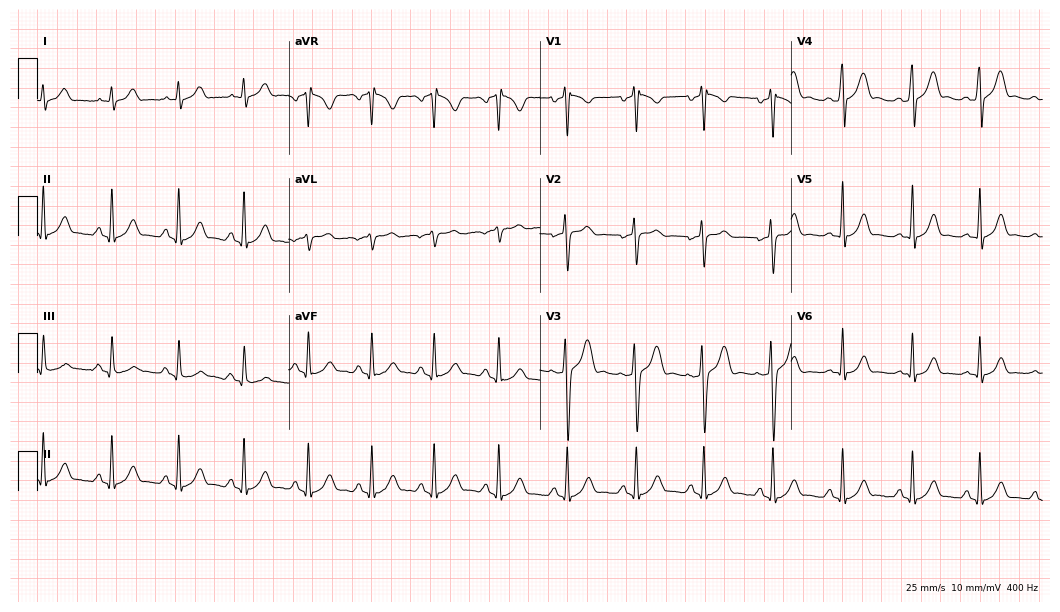
12-lead ECG from a 24-year-old male. No first-degree AV block, right bundle branch block, left bundle branch block, sinus bradycardia, atrial fibrillation or sinus tachycardia recorded for this tracing.